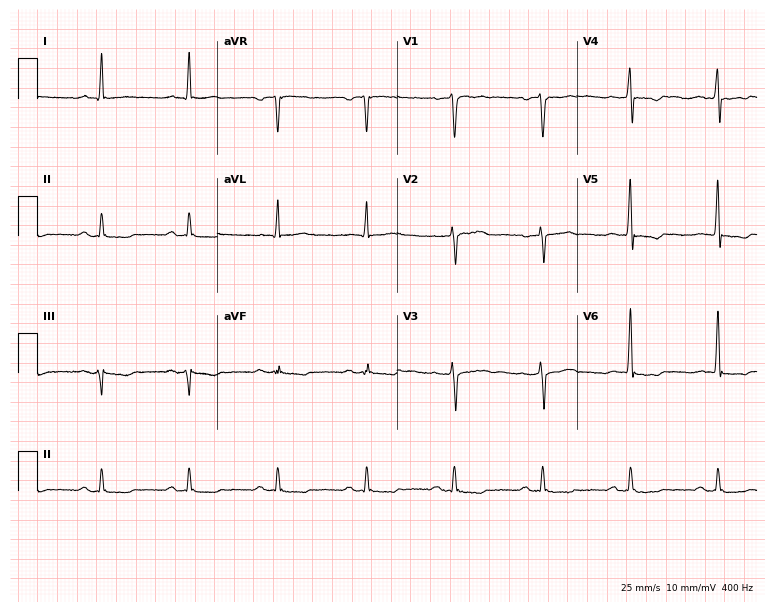
Electrocardiogram (7.3-second recording at 400 Hz), a 64-year-old male patient. Of the six screened findings (first-degree AV block, right bundle branch block, left bundle branch block, sinus bradycardia, atrial fibrillation, sinus tachycardia), none is recorded. Only these six findings were labelled.